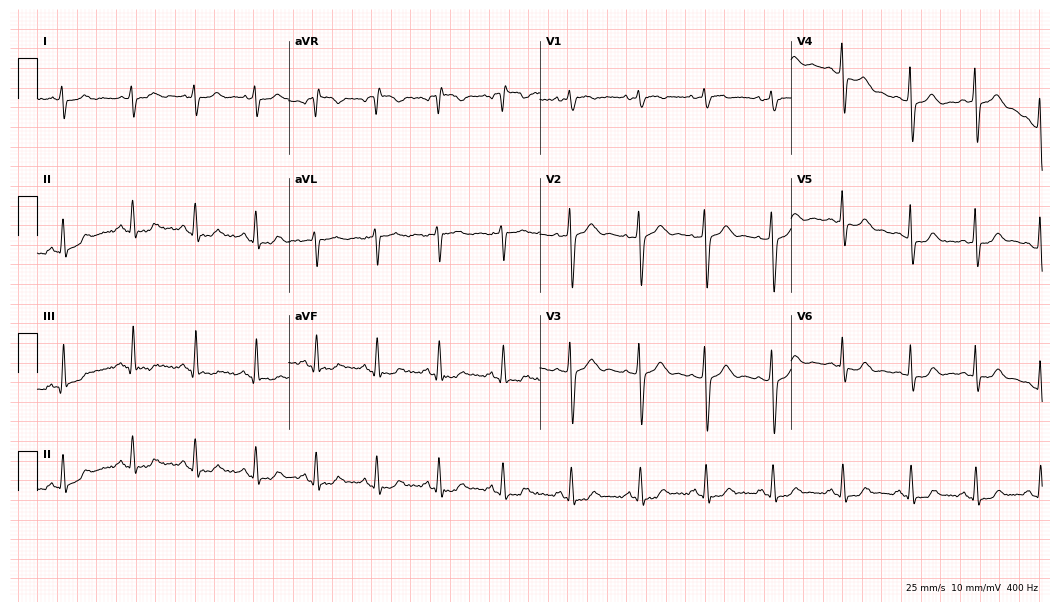
Resting 12-lead electrocardiogram (10.2-second recording at 400 Hz). Patient: a 24-year-old female. None of these six findings is recorded: first-degree AV block, right bundle branch block, left bundle branch block, sinus bradycardia, atrial fibrillation, sinus tachycardia. Other findings, if any, are not listed.